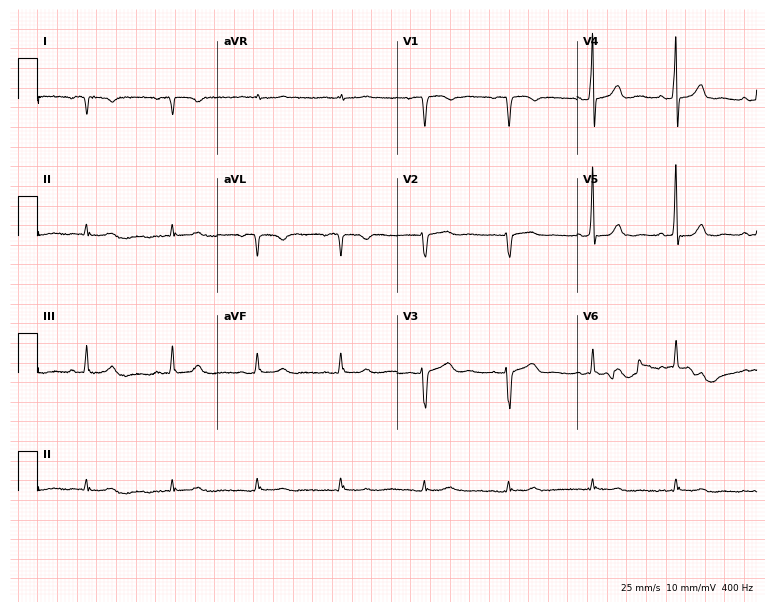
12-lead ECG from a 74-year-old man (7.3-second recording at 400 Hz). No first-degree AV block, right bundle branch block, left bundle branch block, sinus bradycardia, atrial fibrillation or sinus tachycardia recorded for this tracing.